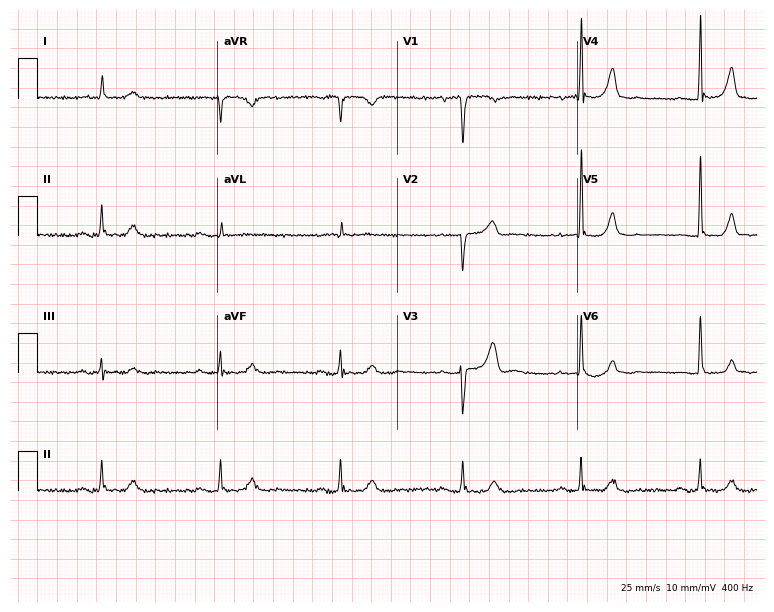
12-lead ECG from a 76-year-old male (7.3-second recording at 400 Hz). Shows first-degree AV block, sinus bradycardia (a sinus rate of 50 beats per minute or less).